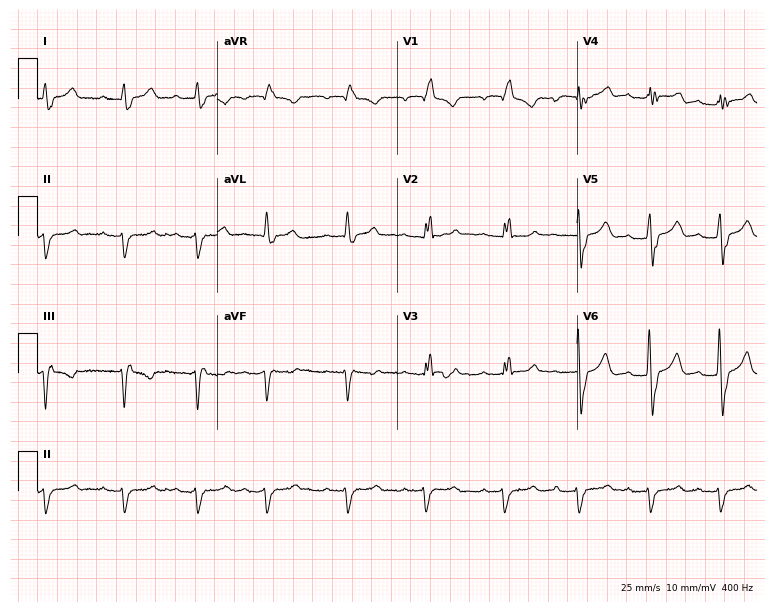
12-lead ECG from a male, 73 years old. Findings include right bundle branch block.